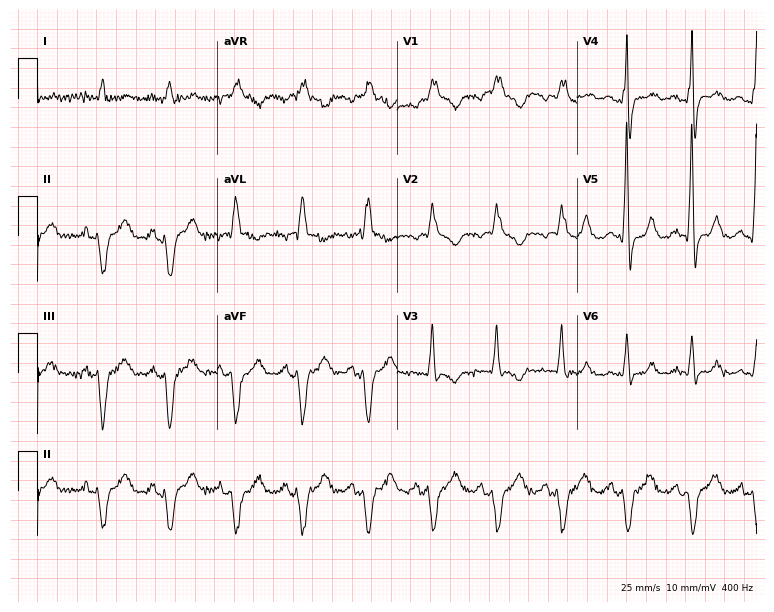
12-lead ECG from a 64-year-old male (7.3-second recording at 400 Hz). Shows right bundle branch block.